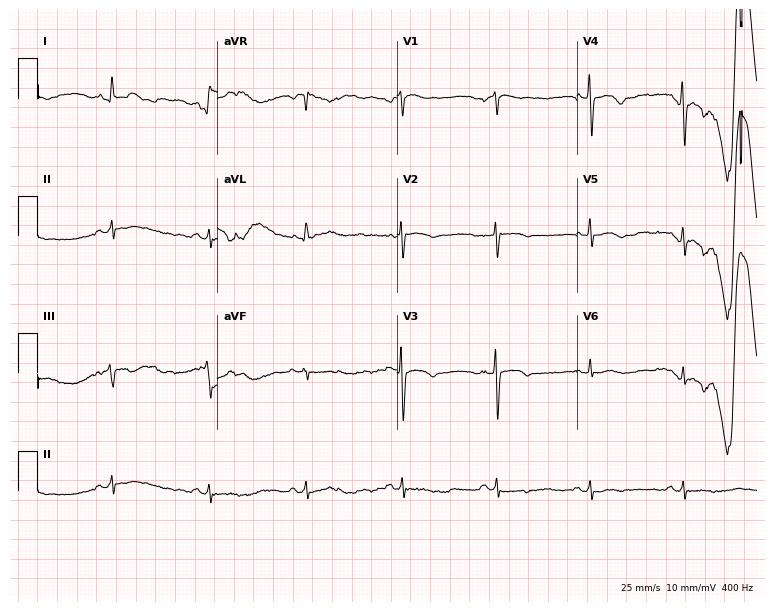
12-lead ECG from an 84-year-old man. Screened for six findings — first-degree AV block, right bundle branch block, left bundle branch block, sinus bradycardia, atrial fibrillation, sinus tachycardia — none is recorded.